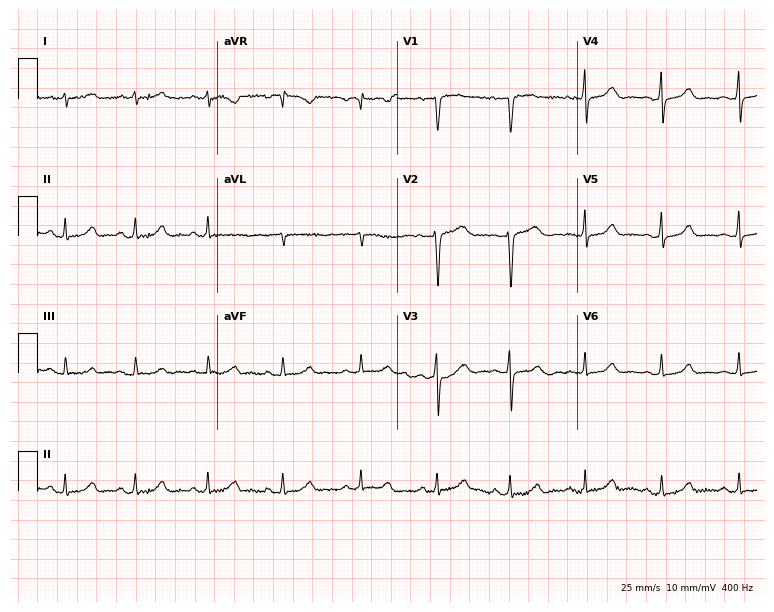
12-lead ECG (7.3-second recording at 400 Hz) from a female, 35 years old. Screened for six findings — first-degree AV block, right bundle branch block, left bundle branch block, sinus bradycardia, atrial fibrillation, sinus tachycardia — none is recorded. Findings outside these six are not listed.